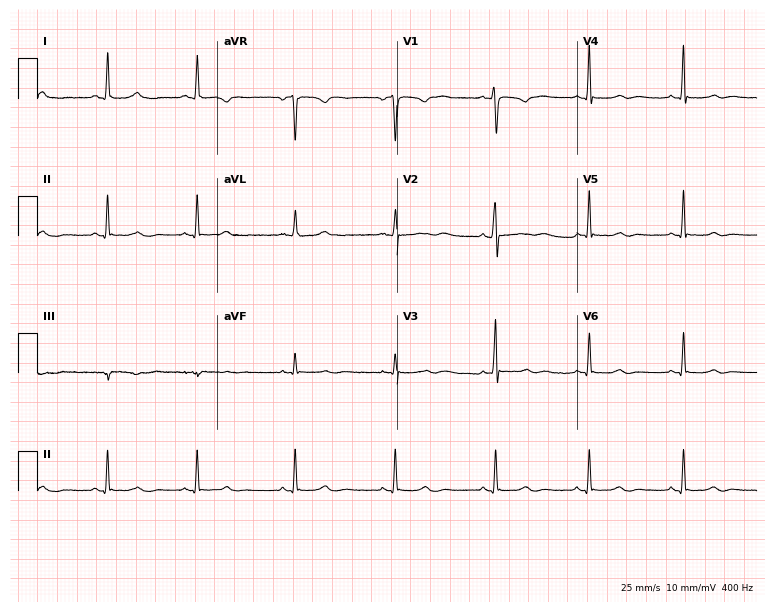
12-lead ECG from a 31-year-old woman. No first-degree AV block, right bundle branch block (RBBB), left bundle branch block (LBBB), sinus bradycardia, atrial fibrillation (AF) or sinus tachycardia recorded for this tracing.